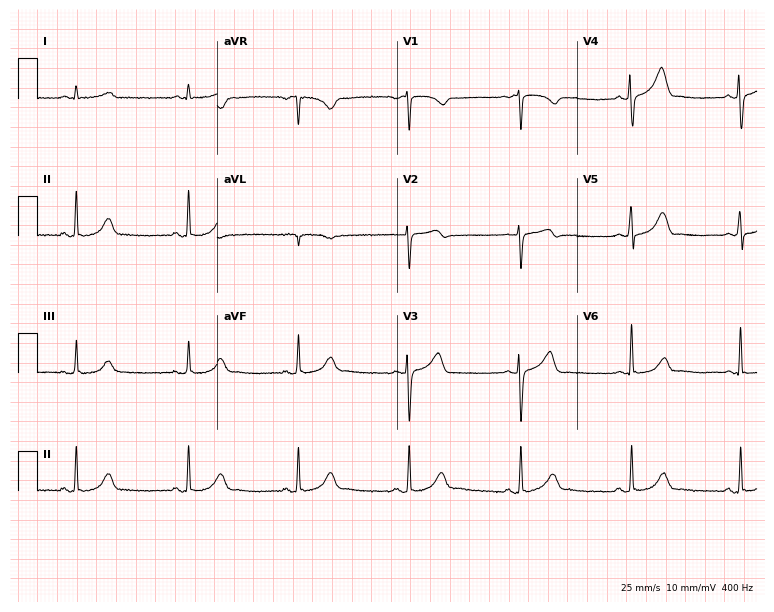
ECG — a male, 47 years old. Screened for six findings — first-degree AV block, right bundle branch block (RBBB), left bundle branch block (LBBB), sinus bradycardia, atrial fibrillation (AF), sinus tachycardia — none is recorded.